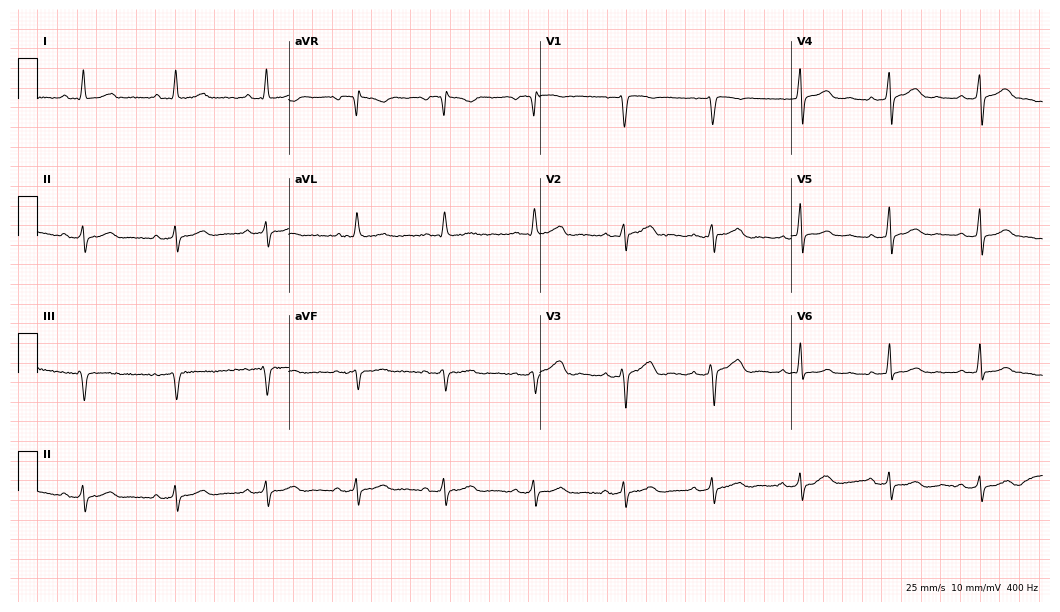
12-lead ECG from a 50-year-old female. No first-degree AV block, right bundle branch block (RBBB), left bundle branch block (LBBB), sinus bradycardia, atrial fibrillation (AF) or sinus tachycardia recorded for this tracing. Other findings, if any, are not listed.